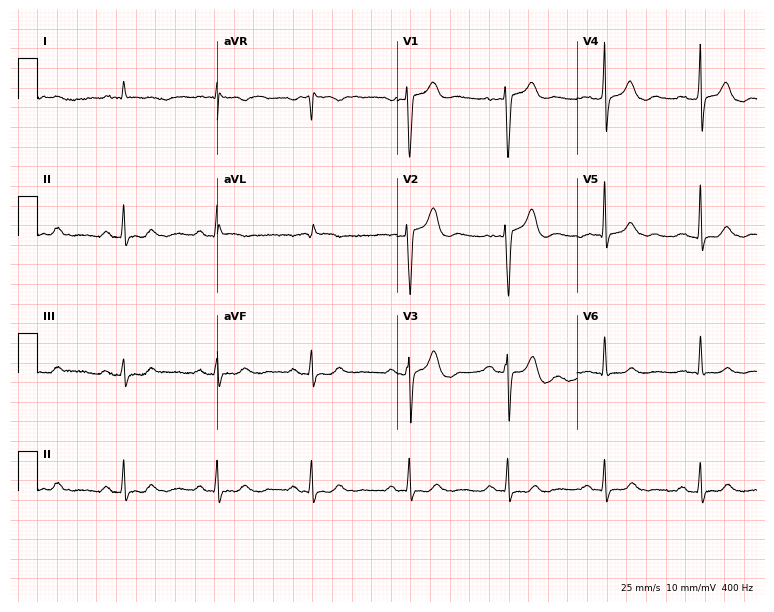
12-lead ECG from a 70-year-old male patient (7.3-second recording at 400 Hz). No first-degree AV block, right bundle branch block, left bundle branch block, sinus bradycardia, atrial fibrillation or sinus tachycardia recorded for this tracing. Findings outside these six are not listed.